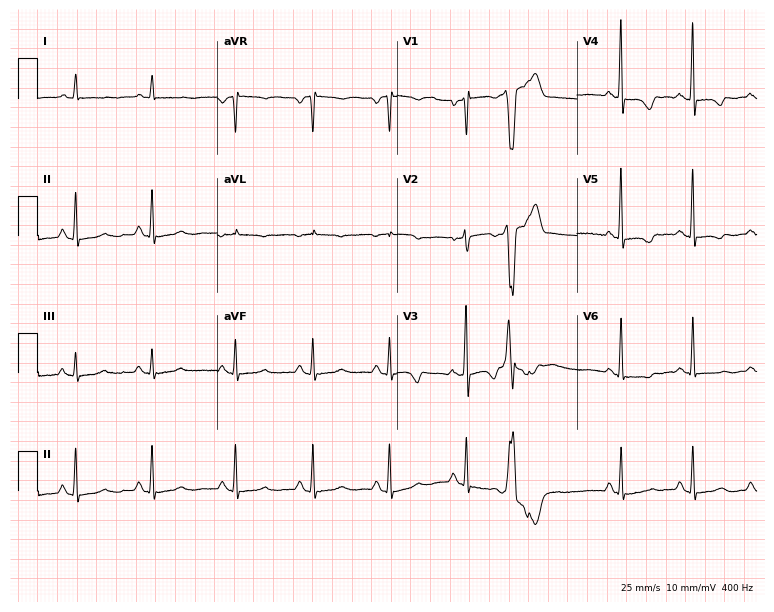
Electrocardiogram, a female, 56 years old. Of the six screened findings (first-degree AV block, right bundle branch block (RBBB), left bundle branch block (LBBB), sinus bradycardia, atrial fibrillation (AF), sinus tachycardia), none is recorded. Findings outside these six are not listed.